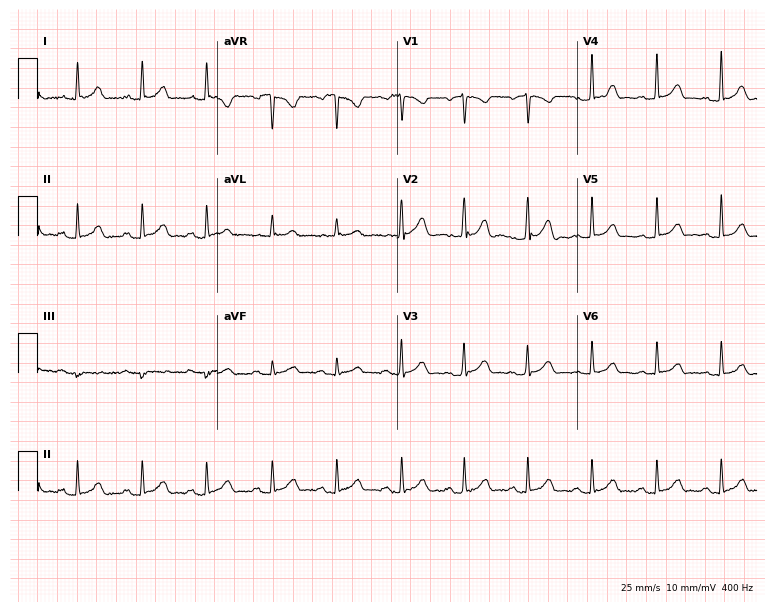
ECG — a male patient, 43 years old. Labelled as a normal ECG.